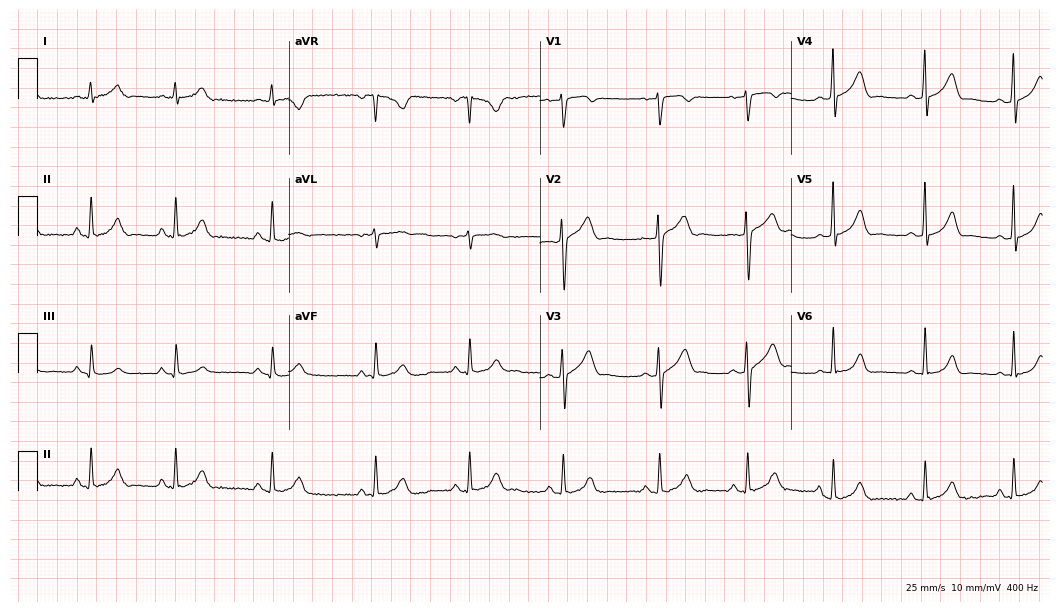
12-lead ECG (10.2-second recording at 400 Hz) from a 32-year-old male. Labelled as a normal ECG.